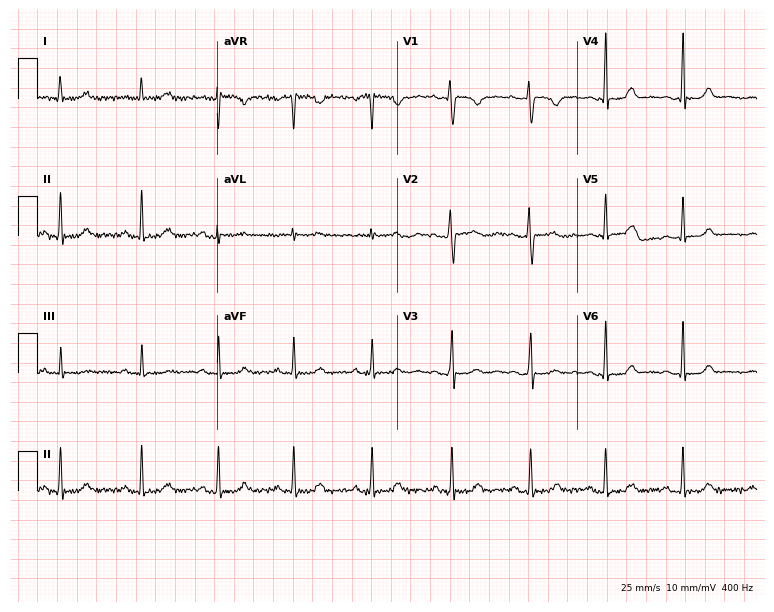
12-lead ECG from a female patient, 28 years old. Labelled as a normal ECG.